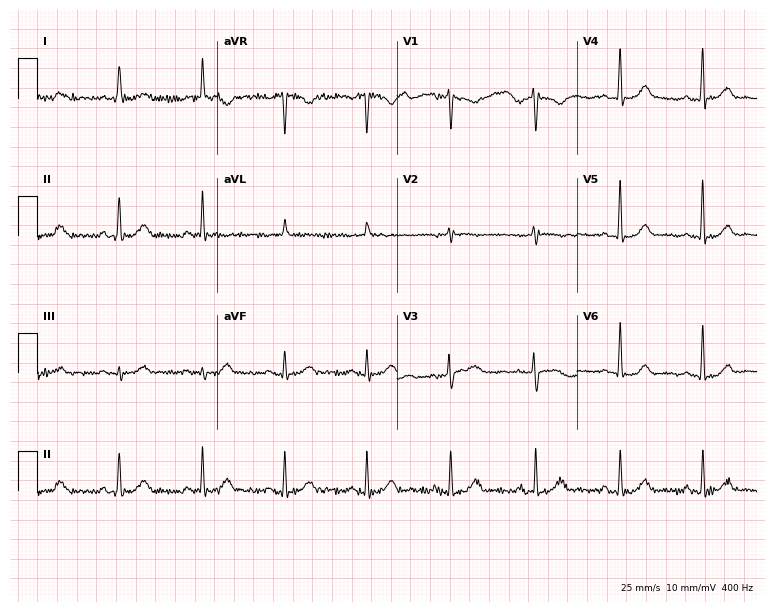
Resting 12-lead electrocardiogram (7.3-second recording at 400 Hz). Patient: a 57-year-old female. Read as a normal ECG.